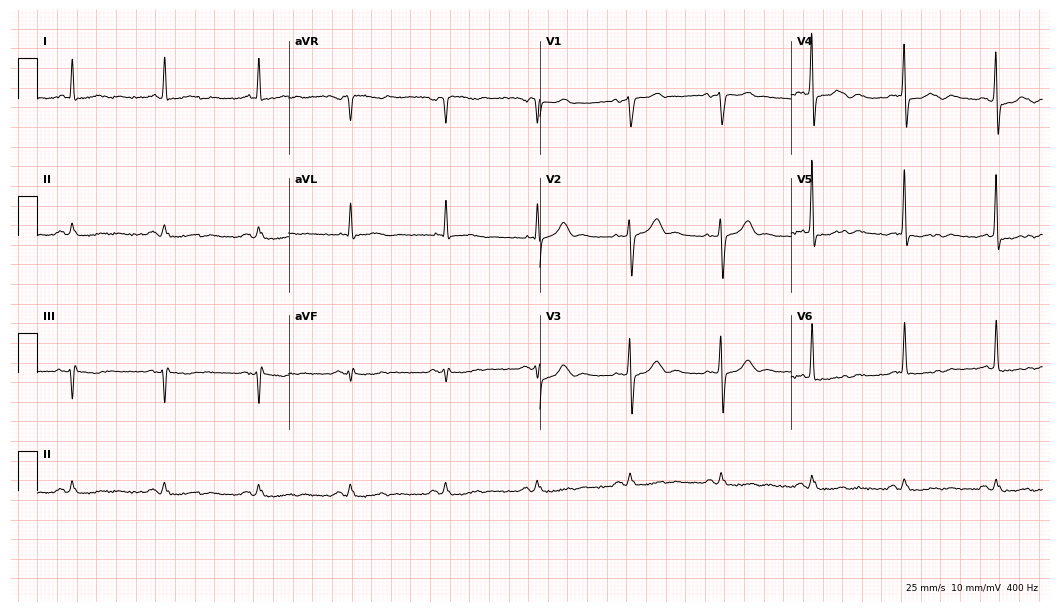
Standard 12-lead ECG recorded from a male, 74 years old. None of these six findings is recorded: first-degree AV block, right bundle branch block, left bundle branch block, sinus bradycardia, atrial fibrillation, sinus tachycardia.